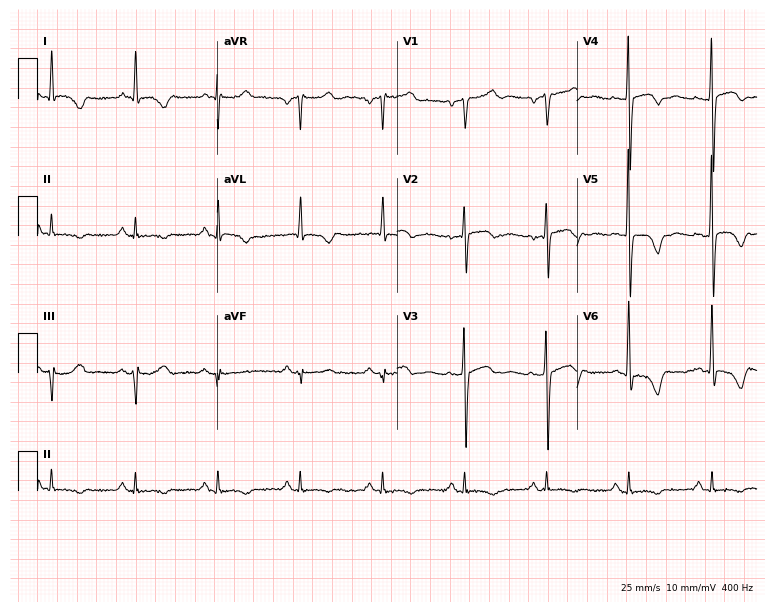
12-lead ECG from a 55-year-old female (7.3-second recording at 400 Hz). No first-degree AV block, right bundle branch block, left bundle branch block, sinus bradycardia, atrial fibrillation or sinus tachycardia recorded for this tracing.